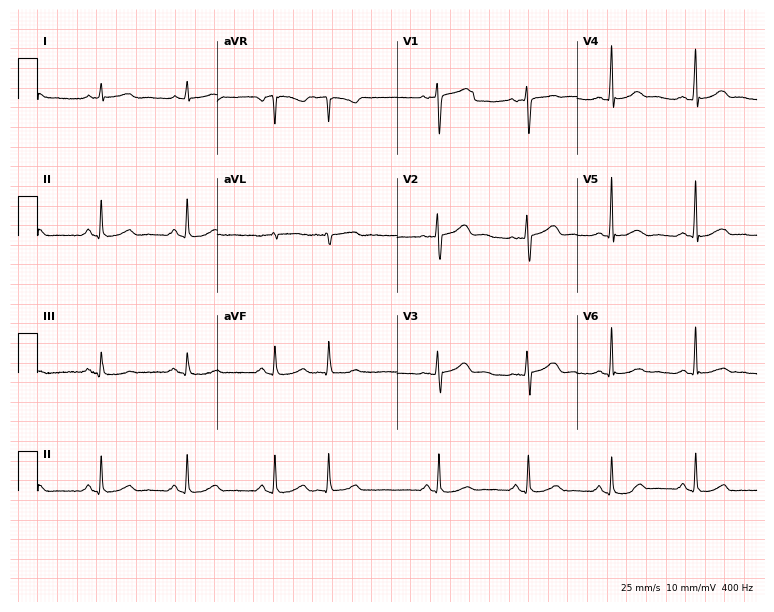
Standard 12-lead ECG recorded from a woman, 37 years old (7.3-second recording at 400 Hz). None of these six findings is recorded: first-degree AV block, right bundle branch block (RBBB), left bundle branch block (LBBB), sinus bradycardia, atrial fibrillation (AF), sinus tachycardia. Only these six findings were labelled.